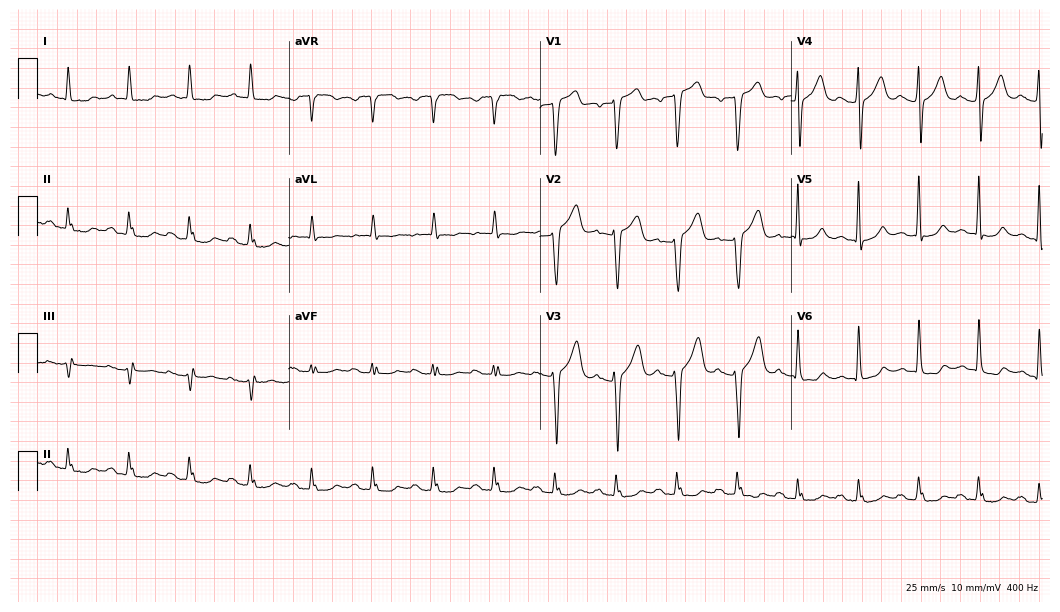
ECG — a 64-year-old man. Labelled as a normal ECG.